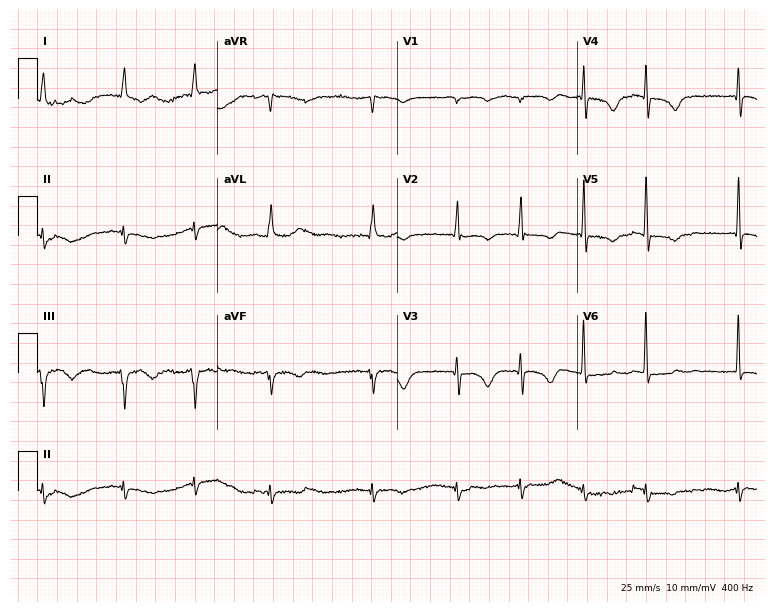
Electrocardiogram (7.3-second recording at 400 Hz), a 77-year-old female patient. Of the six screened findings (first-degree AV block, right bundle branch block (RBBB), left bundle branch block (LBBB), sinus bradycardia, atrial fibrillation (AF), sinus tachycardia), none is recorded. Only these six findings were labelled.